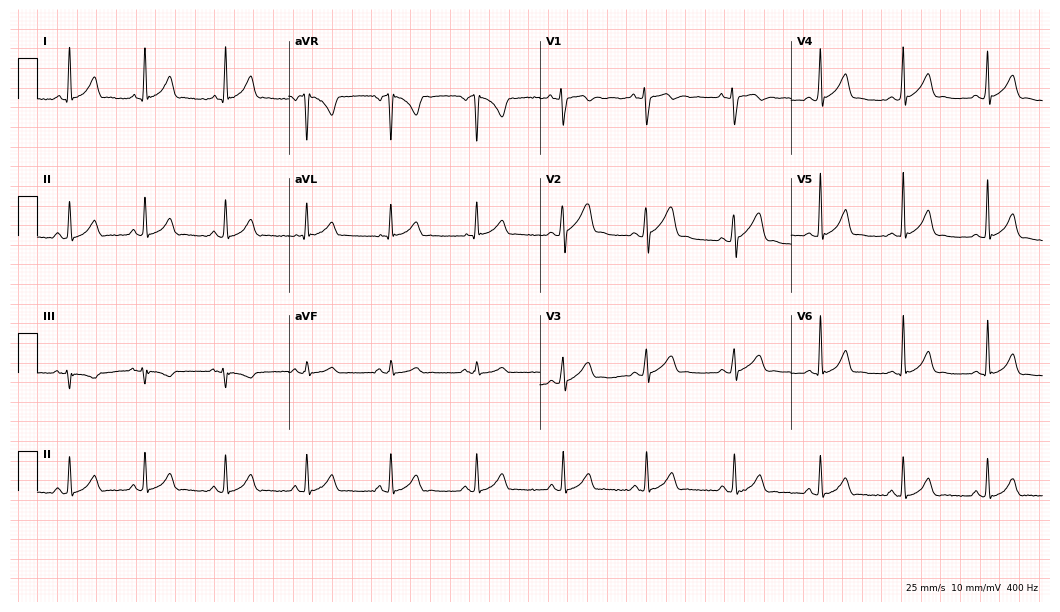
Standard 12-lead ECG recorded from a 34-year-old man (10.2-second recording at 400 Hz). Read as a normal ECG.